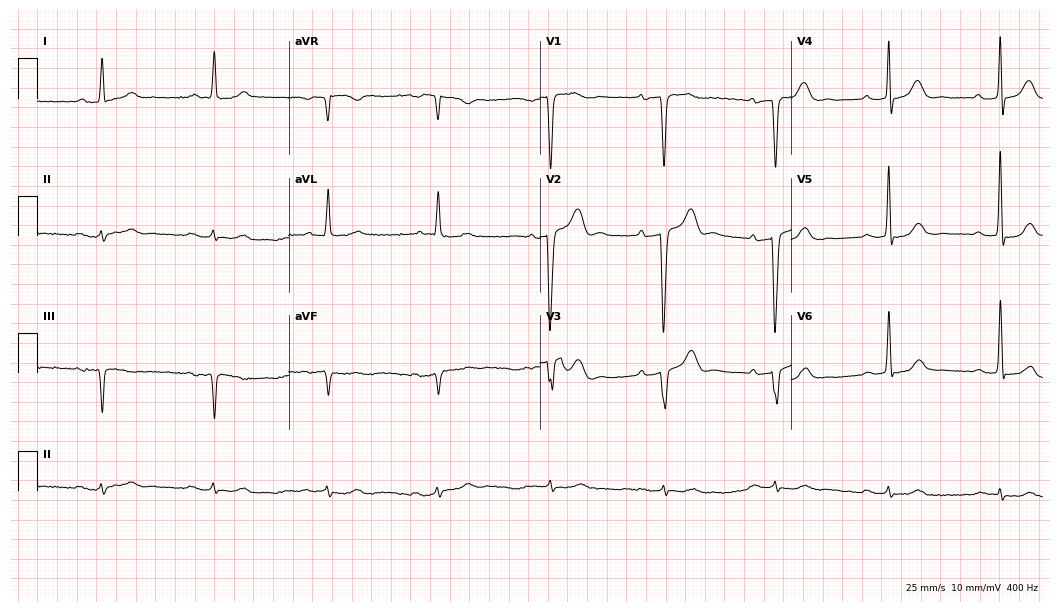
12-lead ECG from a male, 81 years old (10.2-second recording at 400 Hz). Shows first-degree AV block.